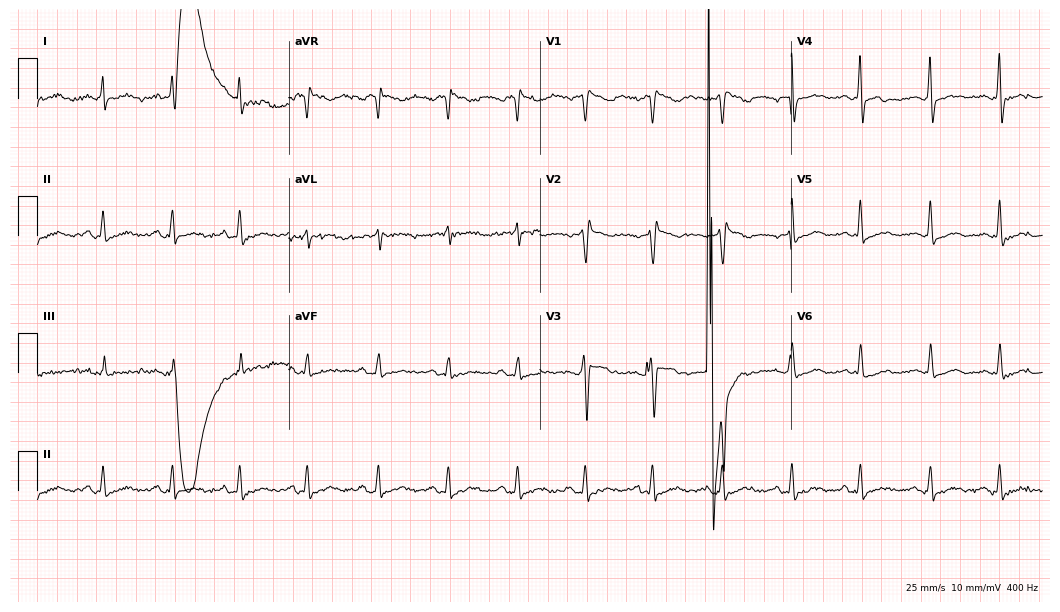
Resting 12-lead electrocardiogram. Patient: a female, 32 years old. The tracing shows right bundle branch block.